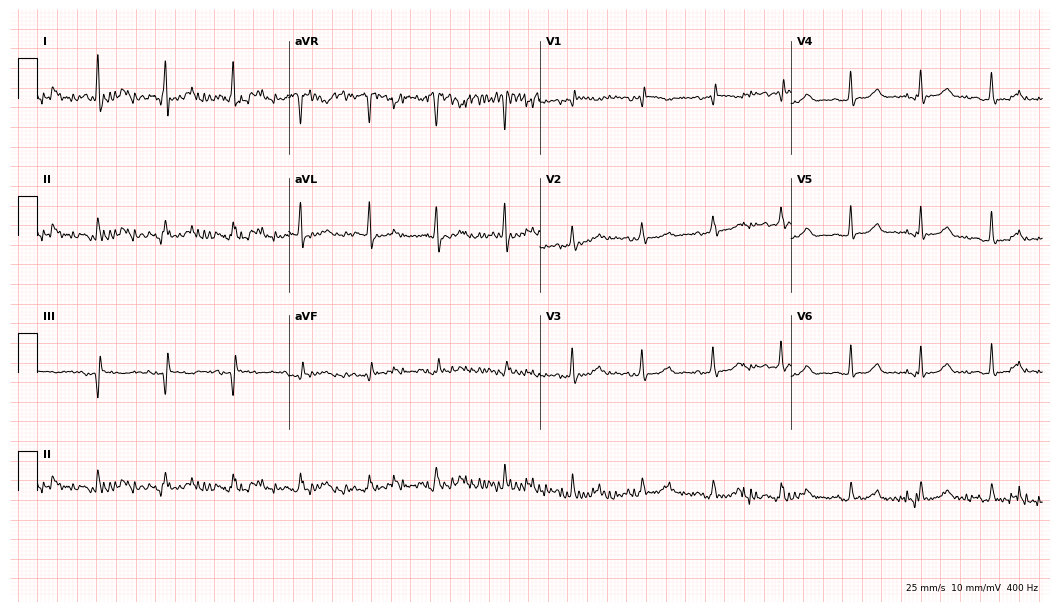
ECG — a 73-year-old female. Screened for six findings — first-degree AV block, right bundle branch block, left bundle branch block, sinus bradycardia, atrial fibrillation, sinus tachycardia — none is recorded.